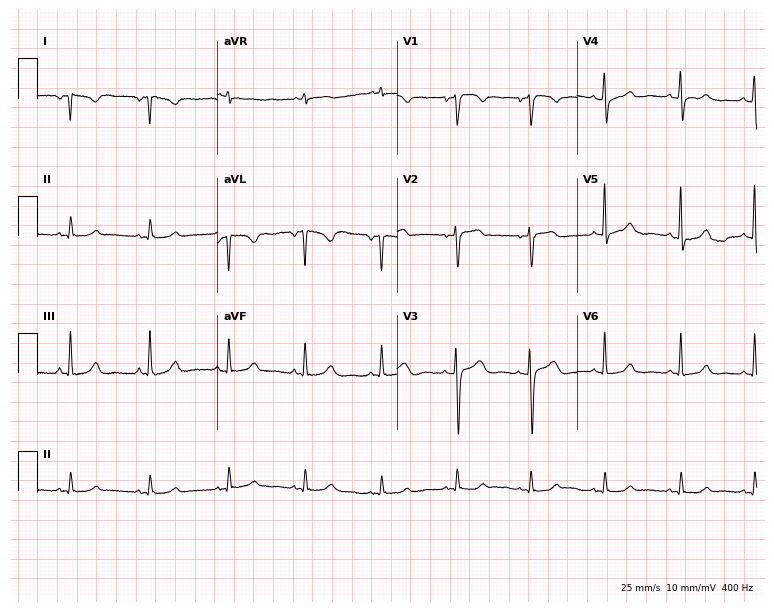
Electrocardiogram, a 56-year-old female patient. Of the six screened findings (first-degree AV block, right bundle branch block, left bundle branch block, sinus bradycardia, atrial fibrillation, sinus tachycardia), none is recorded. Findings outside these six are not listed.